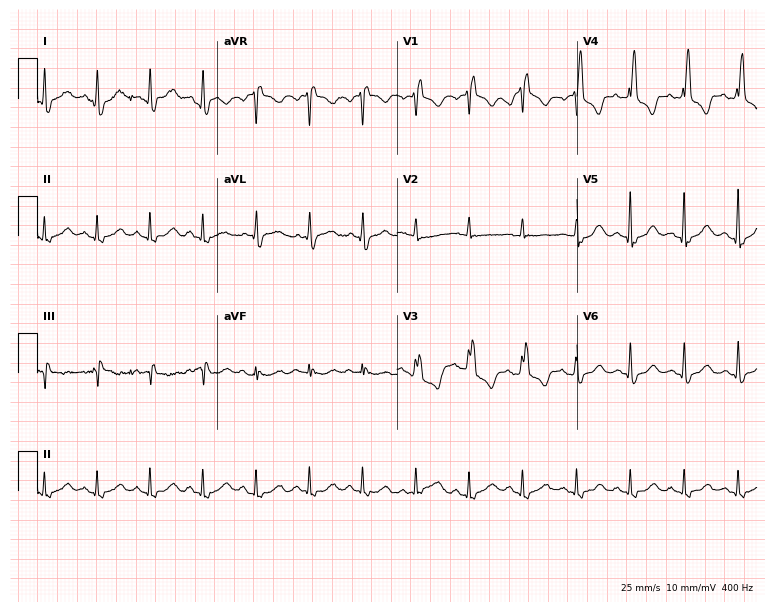
Resting 12-lead electrocardiogram (7.3-second recording at 400 Hz). Patient: a 51-year-old female. The tracing shows right bundle branch block (RBBB), sinus tachycardia (a sinus rate of 100 beats per minute or more).